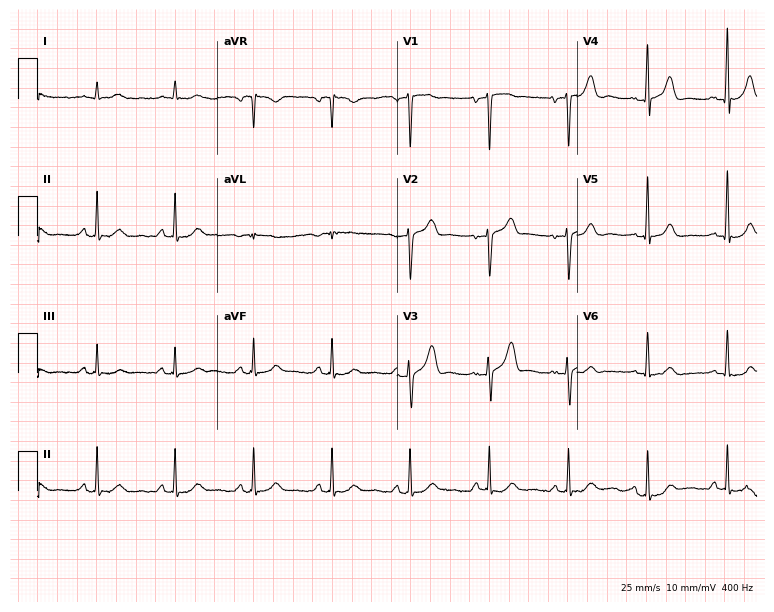
Electrocardiogram (7.3-second recording at 400 Hz), an 80-year-old male. Overall reading on record: normal ECG.